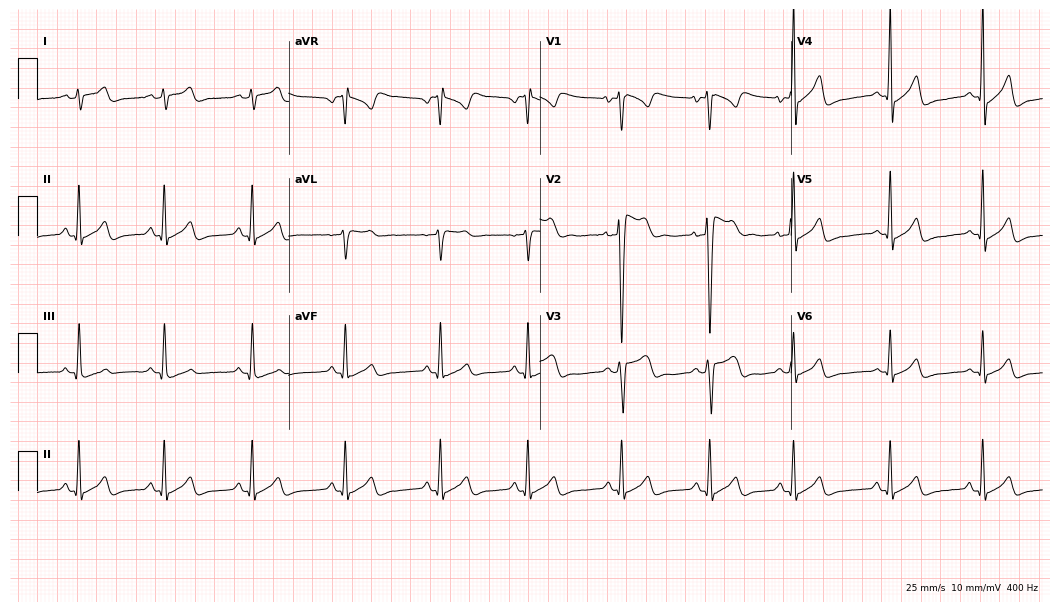
12-lead ECG from an 18-year-old male. Screened for six findings — first-degree AV block, right bundle branch block, left bundle branch block, sinus bradycardia, atrial fibrillation, sinus tachycardia — none is recorded.